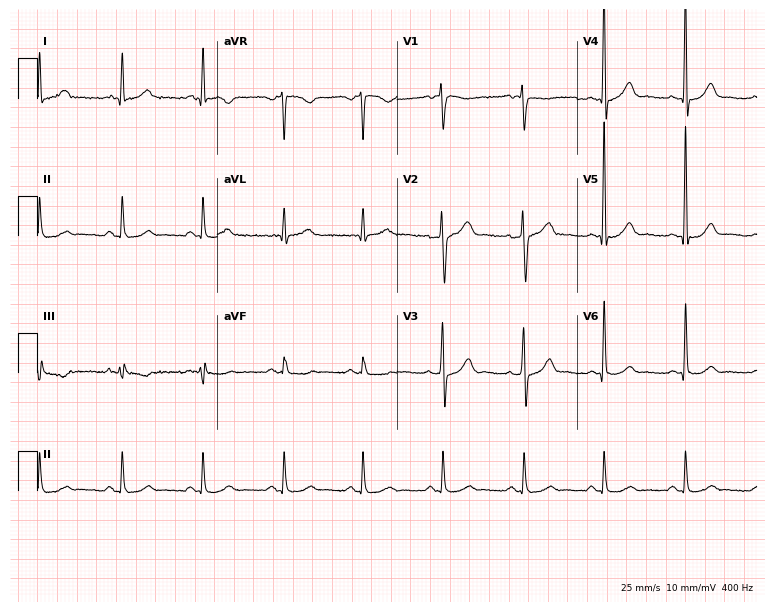
Resting 12-lead electrocardiogram. Patient: a 50-year-old man. Read as a normal ECG.